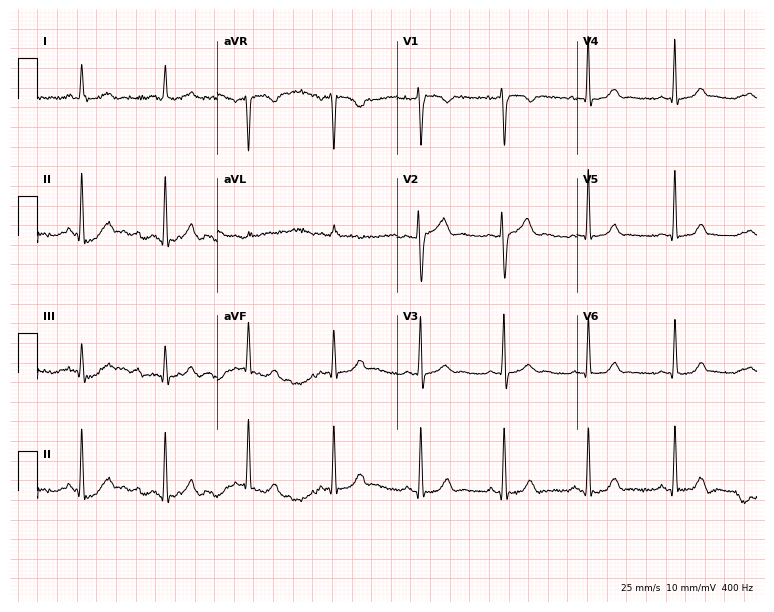
Standard 12-lead ECG recorded from a 35-year-old woman. Read as a normal ECG.